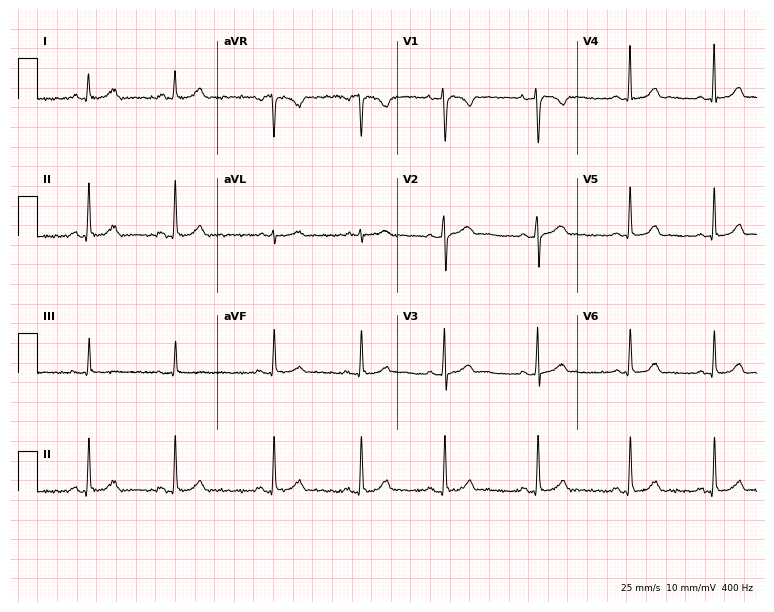
12-lead ECG from a woman, 28 years old (7.3-second recording at 400 Hz). Recorded interpretation: within normal limits.